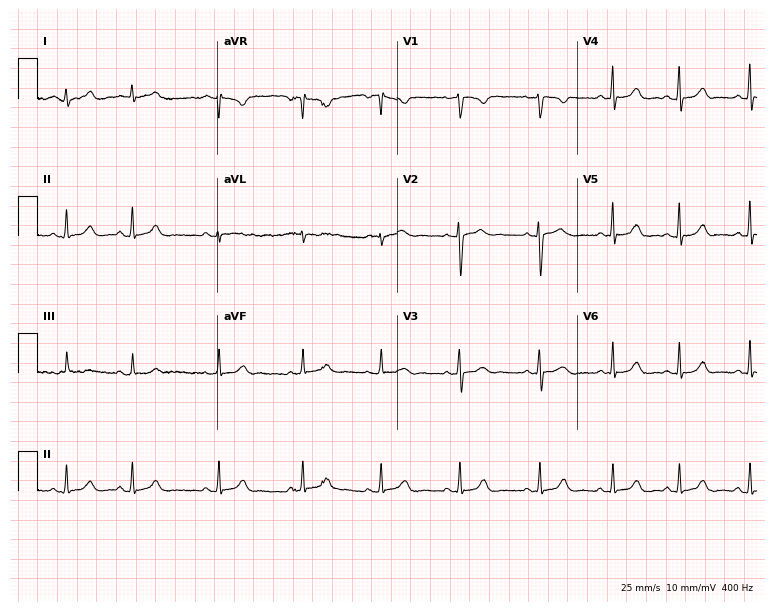
Resting 12-lead electrocardiogram (7.3-second recording at 400 Hz). Patient: a 17-year-old female. None of these six findings is recorded: first-degree AV block, right bundle branch block (RBBB), left bundle branch block (LBBB), sinus bradycardia, atrial fibrillation (AF), sinus tachycardia.